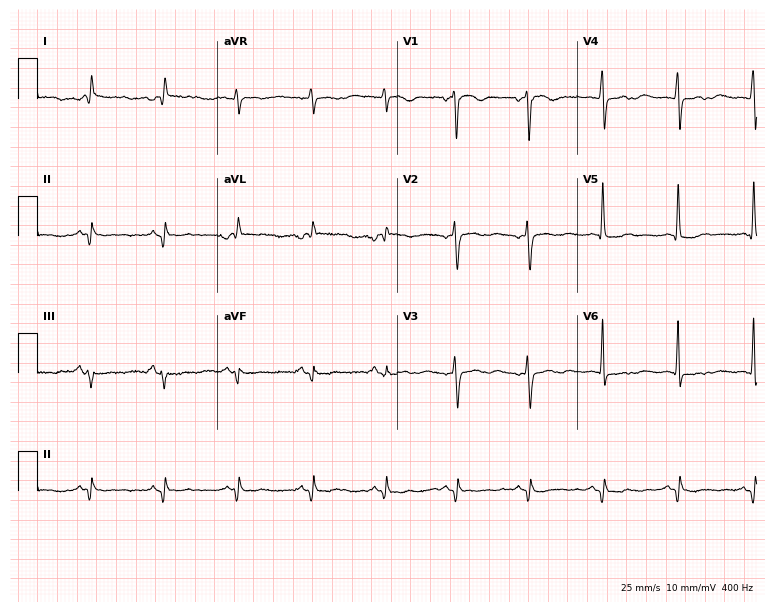
ECG — a 55-year-old female. Screened for six findings — first-degree AV block, right bundle branch block, left bundle branch block, sinus bradycardia, atrial fibrillation, sinus tachycardia — none is recorded.